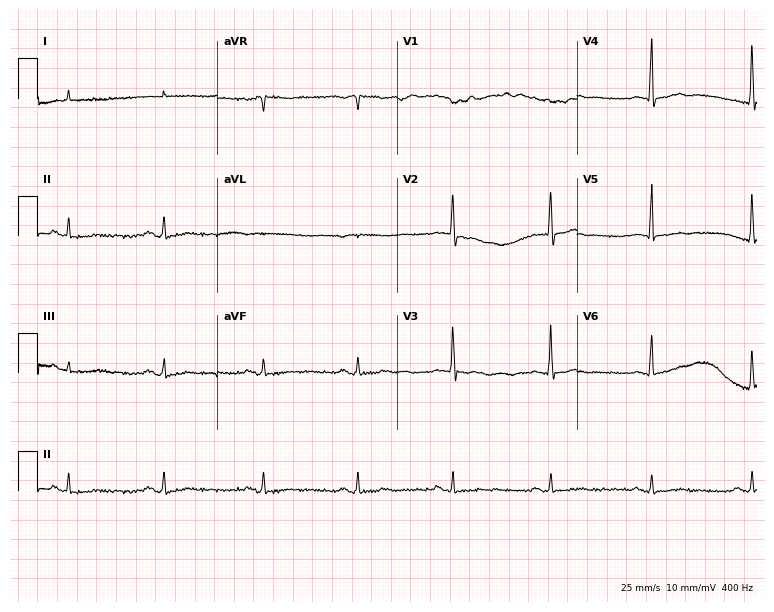
12-lead ECG (7.3-second recording at 400 Hz) from a male, 70 years old. Screened for six findings — first-degree AV block, right bundle branch block, left bundle branch block, sinus bradycardia, atrial fibrillation, sinus tachycardia — none is recorded.